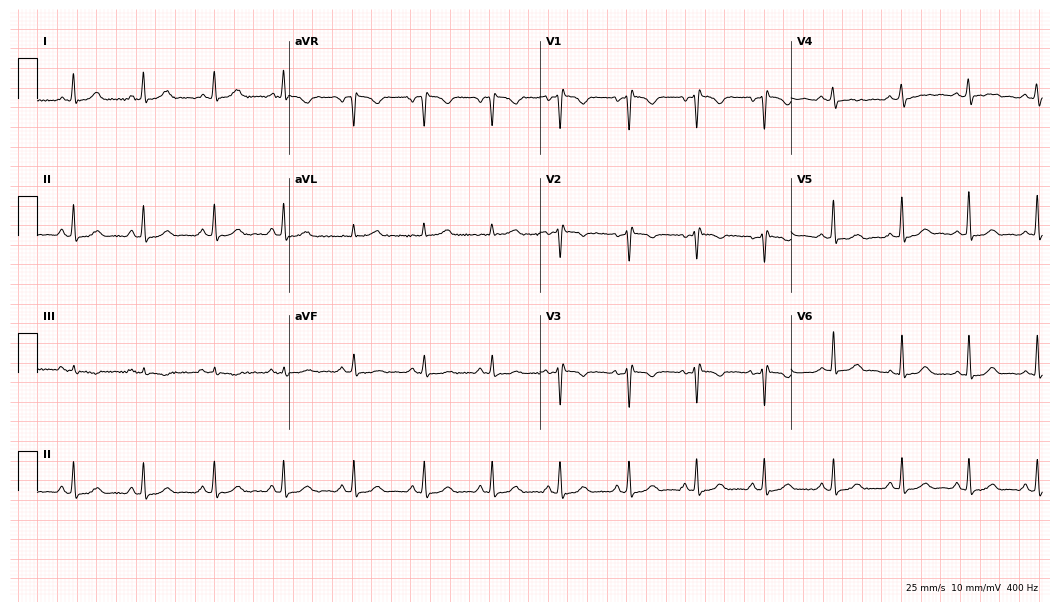
12-lead ECG from a woman, 34 years old (10.2-second recording at 400 Hz). No first-degree AV block, right bundle branch block, left bundle branch block, sinus bradycardia, atrial fibrillation or sinus tachycardia recorded for this tracing.